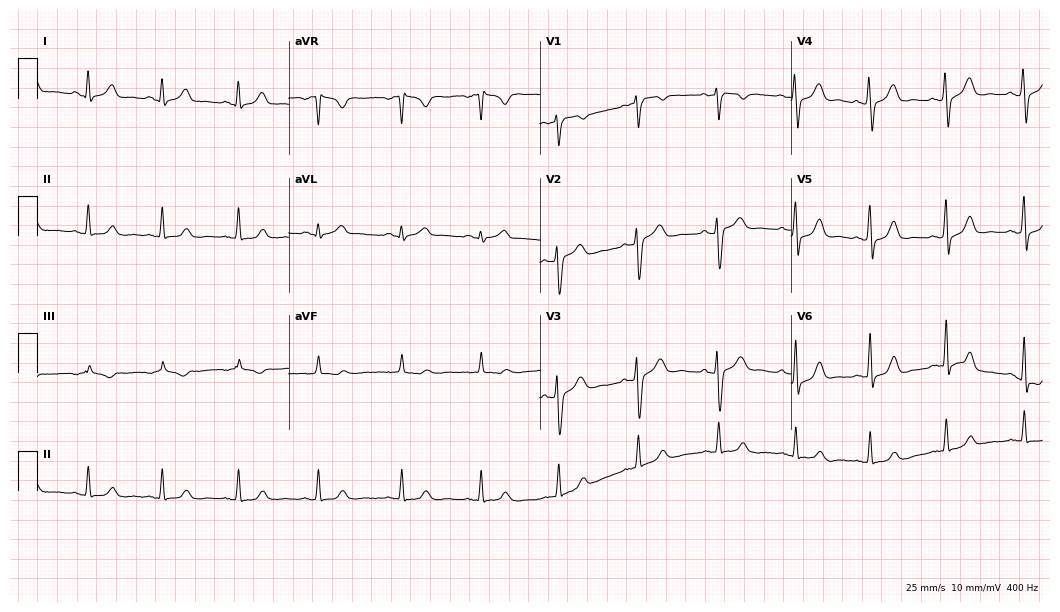
Resting 12-lead electrocardiogram. Patient: a 41-year-old female. Read as a normal ECG.